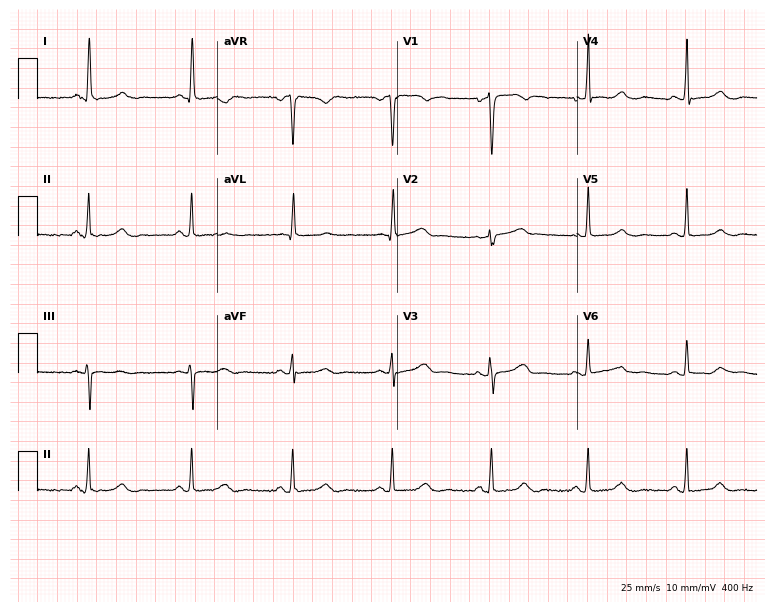
12-lead ECG from a 54-year-old female. Recorded interpretation: within normal limits.